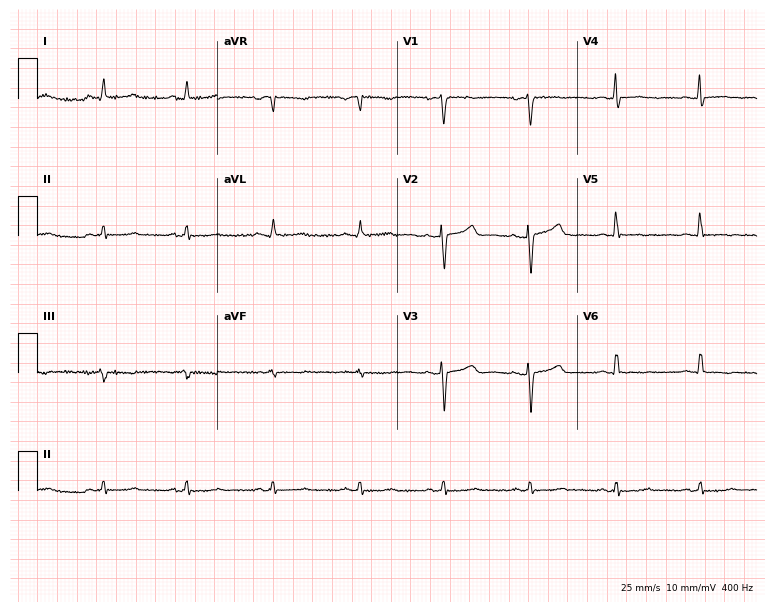
12-lead ECG from a 32-year-old woman. No first-degree AV block, right bundle branch block (RBBB), left bundle branch block (LBBB), sinus bradycardia, atrial fibrillation (AF) or sinus tachycardia recorded for this tracing. Findings outside these six are not listed.